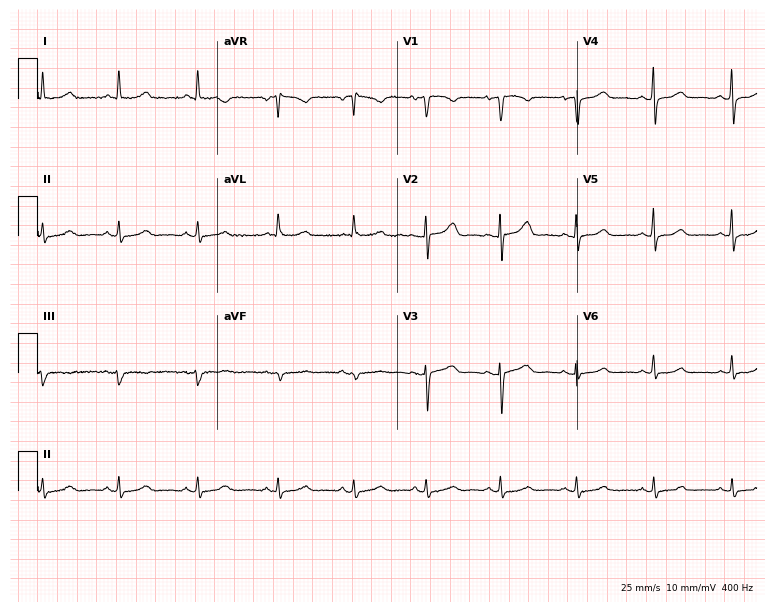
ECG (7.3-second recording at 400 Hz) — a female, 55 years old. Labelled as a normal ECG.